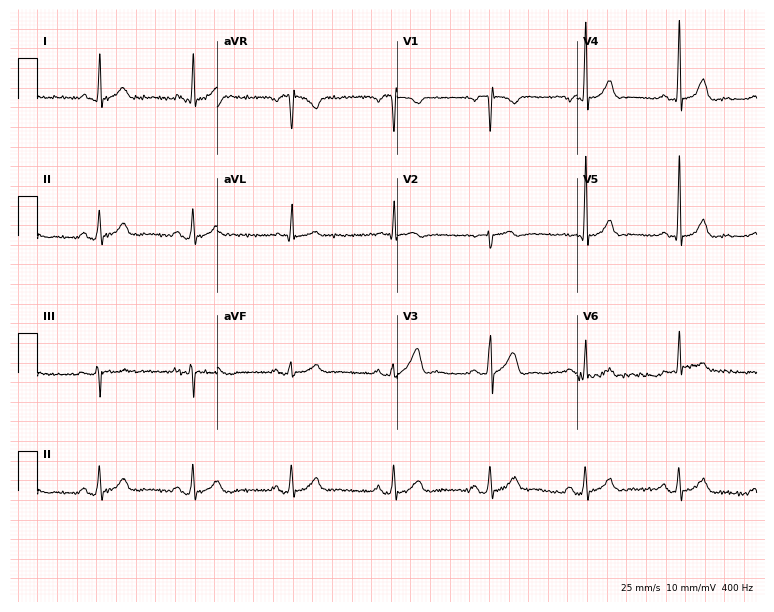
12-lead ECG from a 41-year-old male patient. Labelled as a normal ECG.